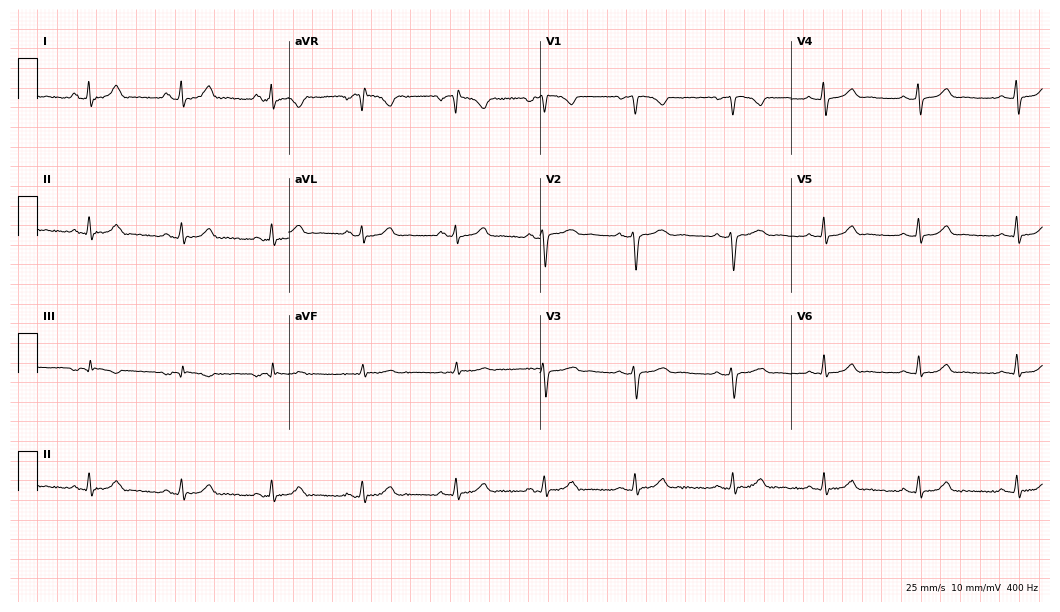
Electrocardiogram (10.2-second recording at 400 Hz), a 30-year-old female patient. Overall reading on record: normal ECG.